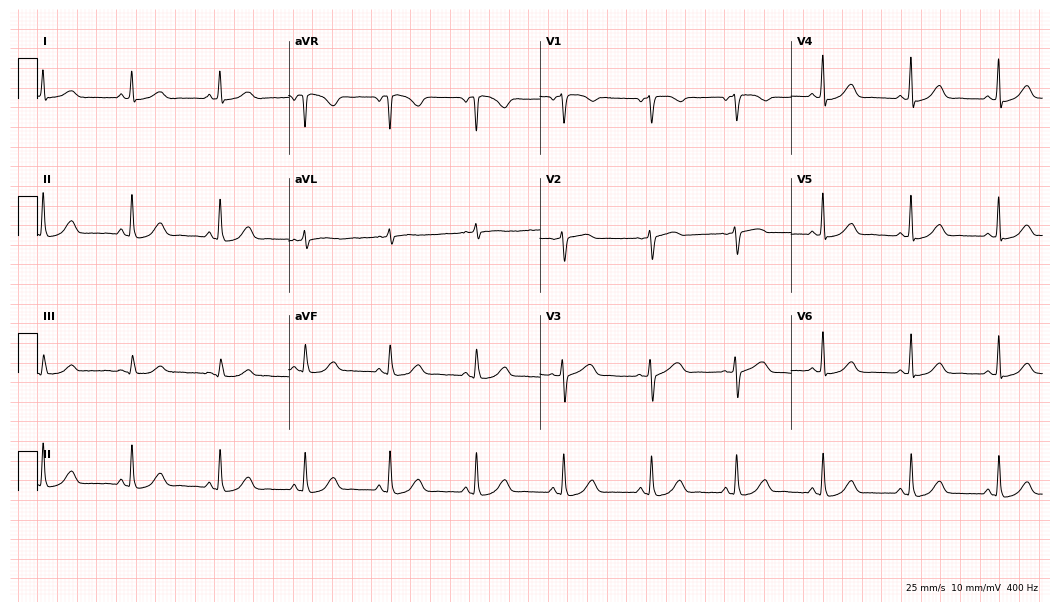
Resting 12-lead electrocardiogram (10.2-second recording at 400 Hz). Patient: a woman, 59 years old. Read as a normal ECG.